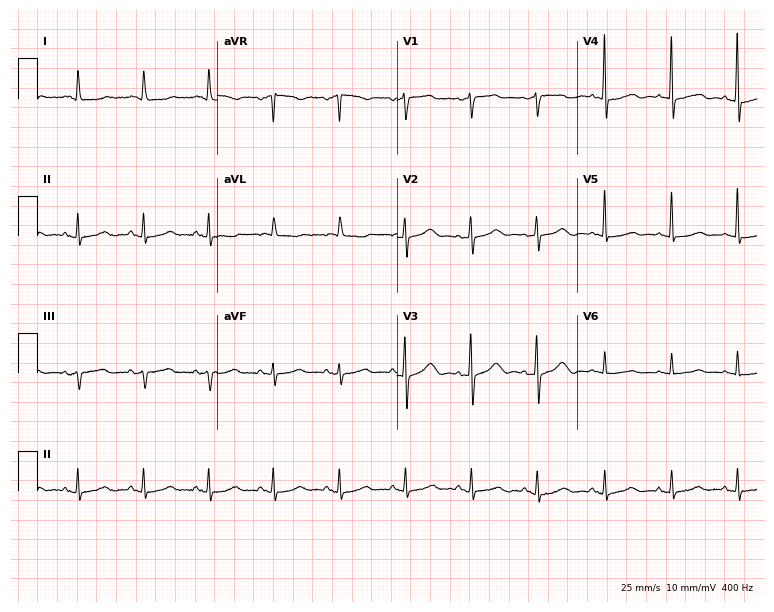
Standard 12-lead ECG recorded from an 81-year-old female patient (7.3-second recording at 400 Hz). None of these six findings is recorded: first-degree AV block, right bundle branch block (RBBB), left bundle branch block (LBBB), sinus bradycardia, atrial fibrillation (AF), sinus tachycardia.